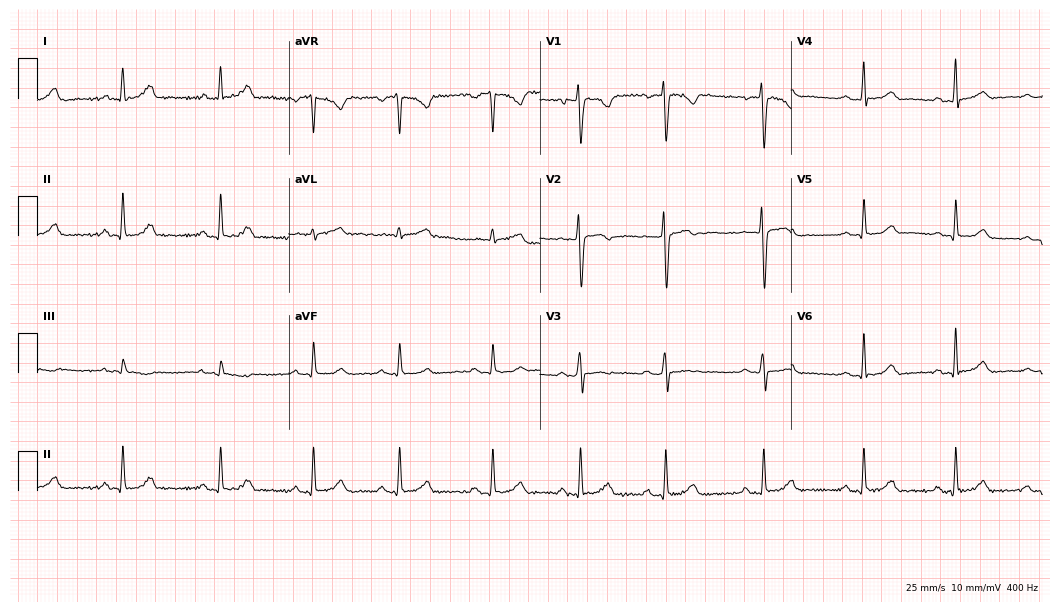
12-lead ECG (10.2-second recording at 400 Hz) from a female patient, 17 years old. Labelled as a normal ECG.